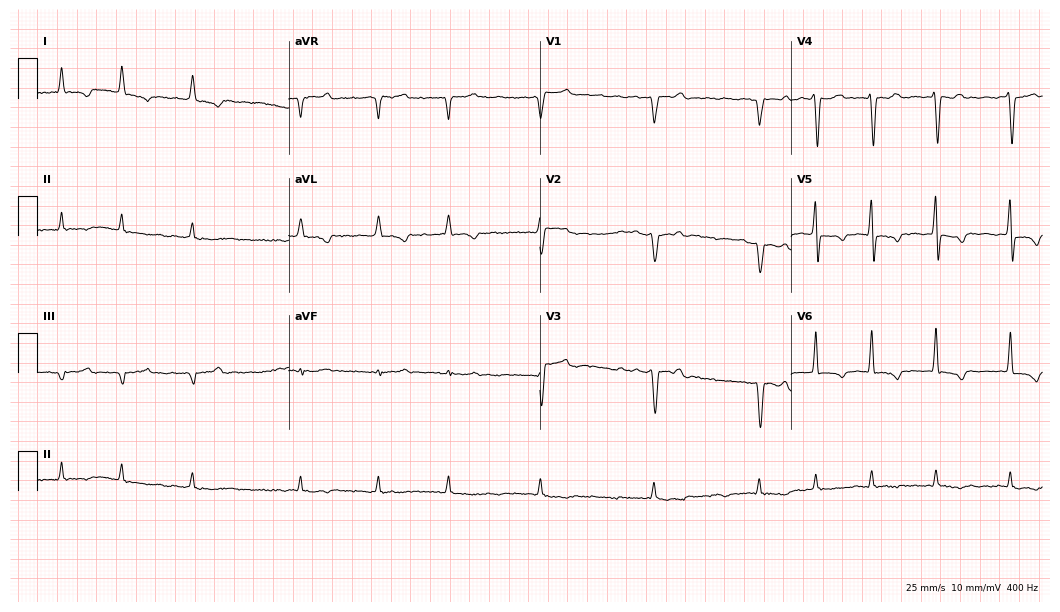
Standard 12-lead ECG recorded from a male, 72 years old (10.2-second recording at 400 Hz). The tracing shows atrial fibrillation.